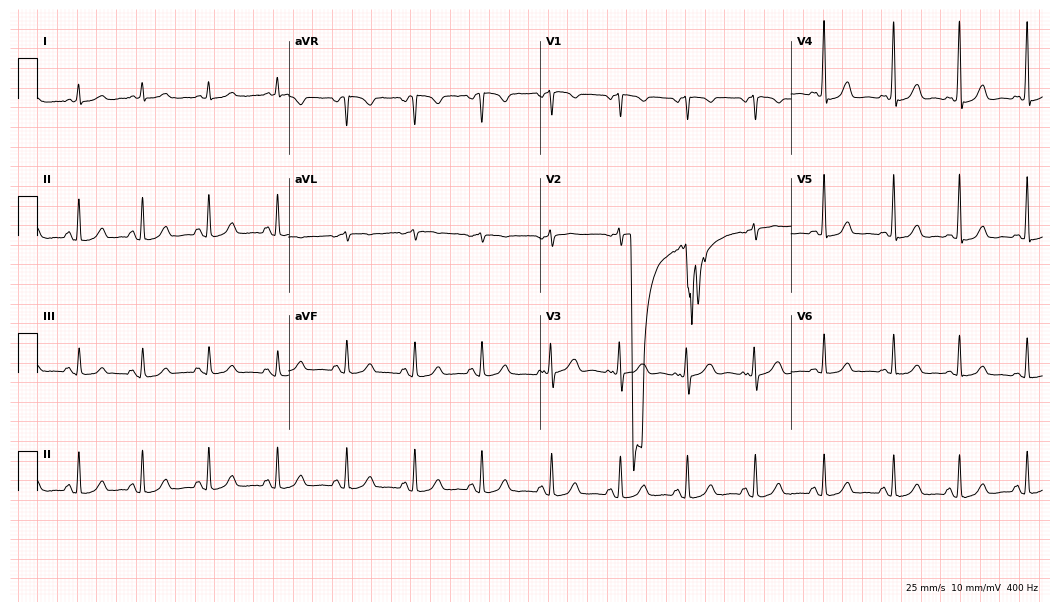
12-lead ECG from a 55-year-old woman. Labelled as a normal ECG.